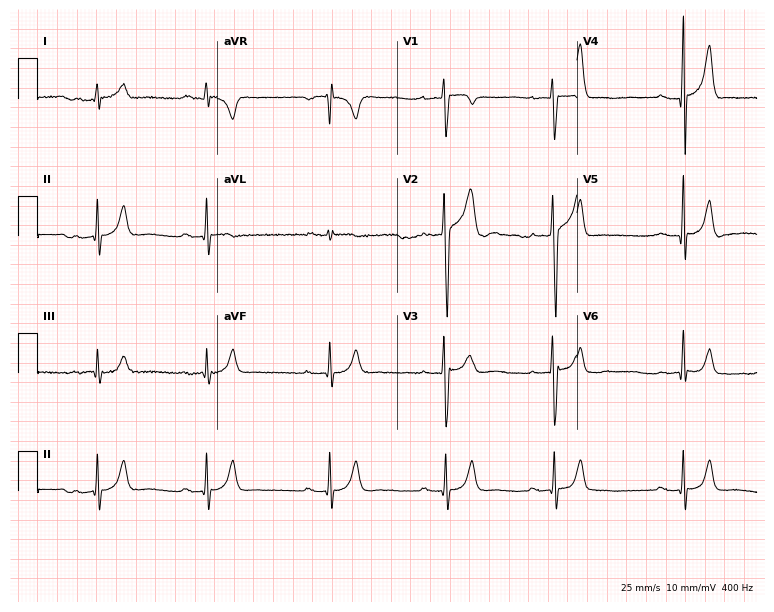
12-lead ECG from a 31-year-old male. Findings include first-degree AV block.